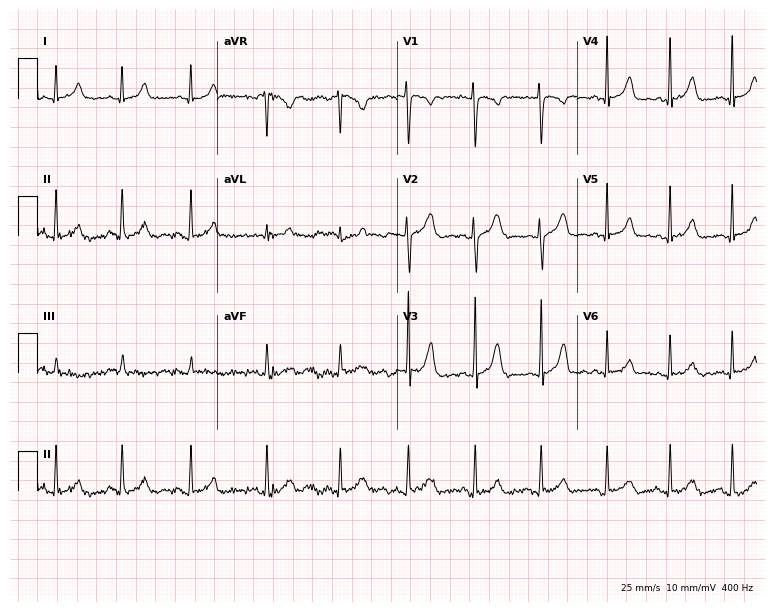
Standard 12-lead ECG recorded from a woman, 28 years old. None of these six findings is recorded: first-degree AV block, right bundle branch block, left bundle branch block, sinus bradycardia, atrial fibrillation, sinus tachycardia.